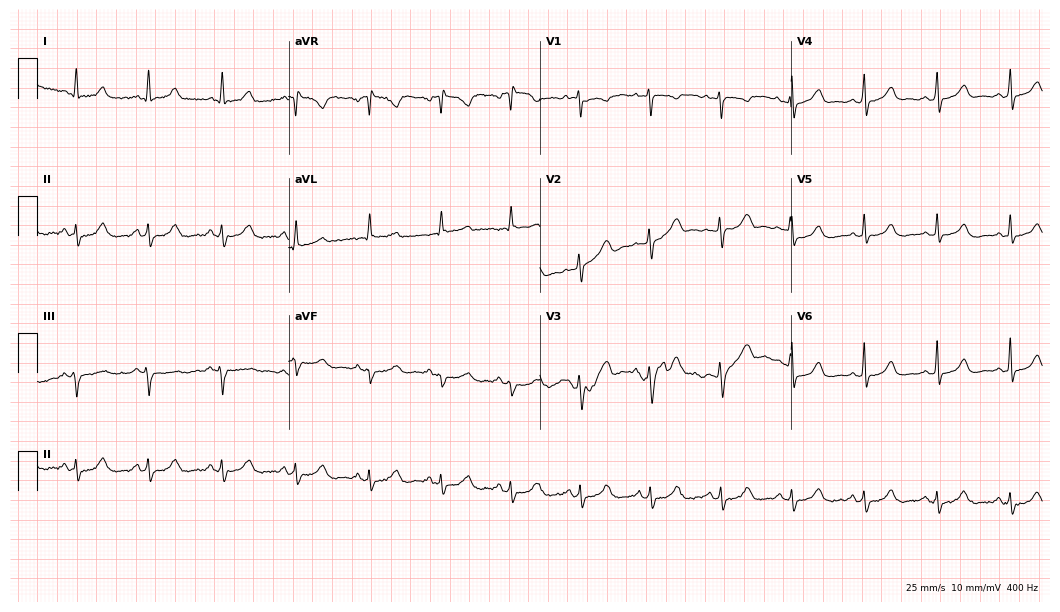
ECG — a 35-year-old female. Labelled as a normal ECG.